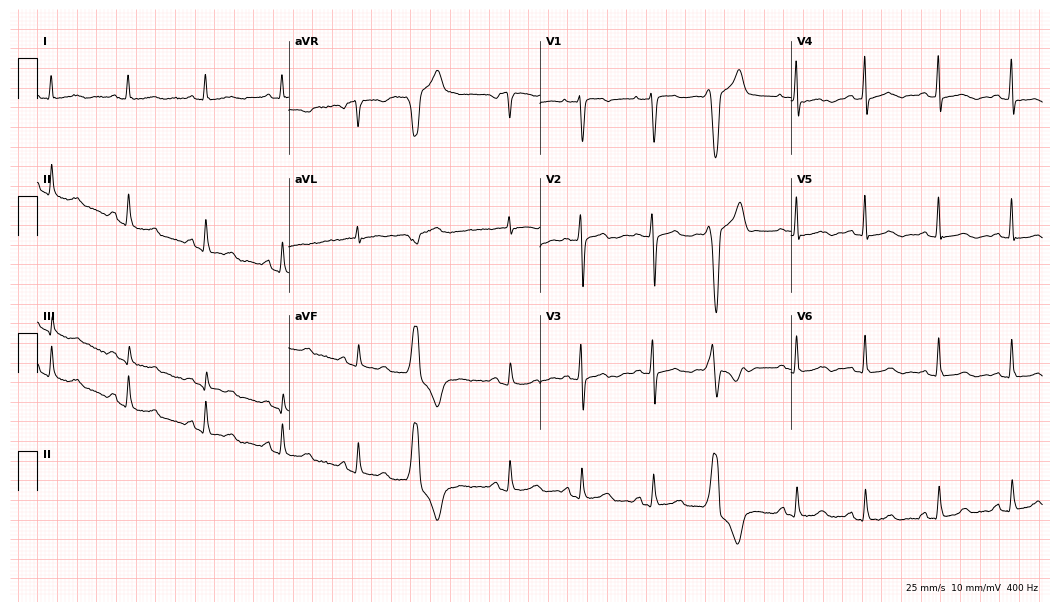
ECG (10.2-second recording at 400 Hz) — a female patient, 79 years old. Screened for six findings — first-degree AV block, right bundle branch block, left bundle branch block, sinus bradycardia, atrial fibrillation, sinus tachycardia — none is recorded.